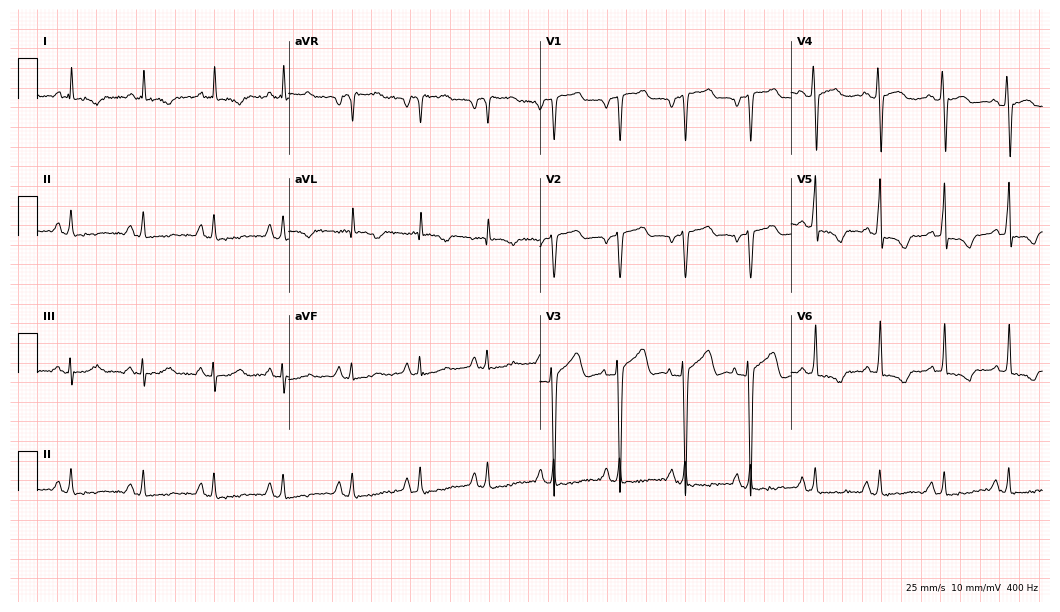
ECG (10.2-second recording at 400 Hz) — a 61-year-old male patient. Screened for six findings — first-degree AV block, right bundle branch block, left bundle branch block, sinus bradycardia, atrial fibrillation, sinus tachycardia — none is recorded.